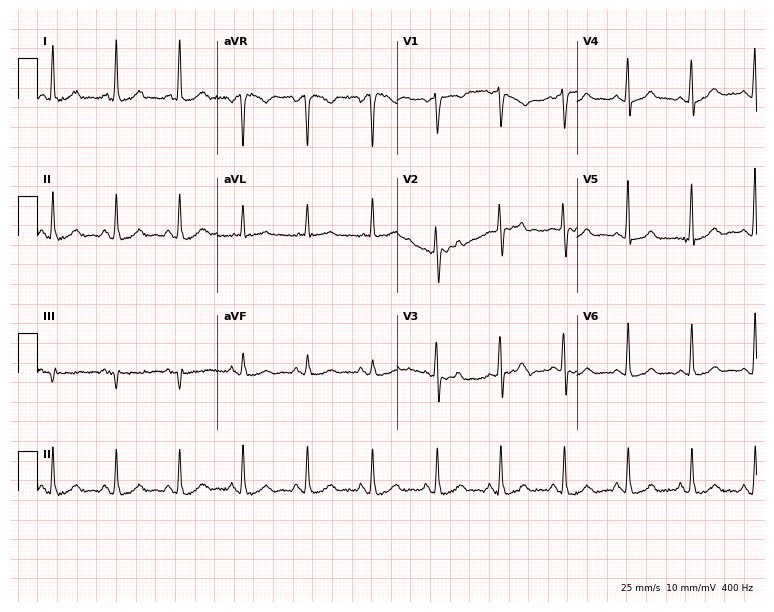
12-lead ECG from a female patient, 68 years old (7.3-second recording at 400 Hz). No first-degree AV block, right bundle branch block, left bundle branch block, sinus bradycardia, atrial fibrillation or sinus tachycardia recorded for this tracing.